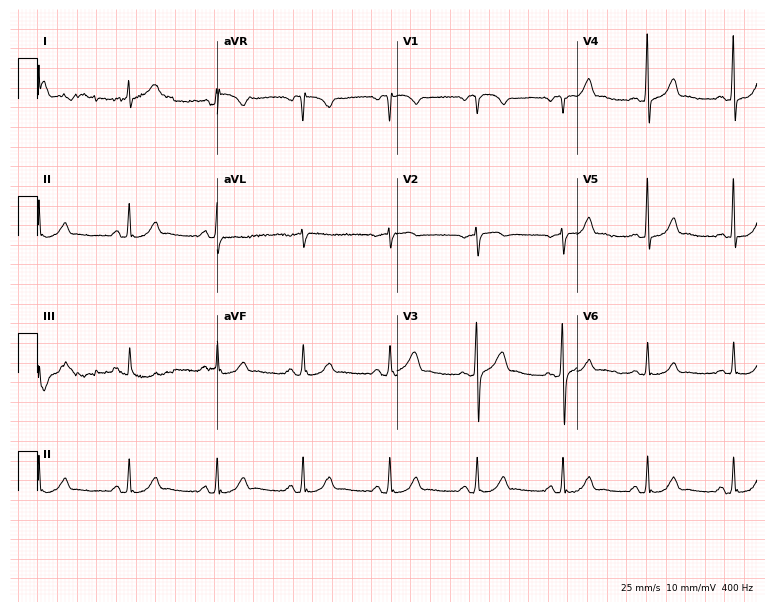
ECG (7.3-second recording at 400 Hz) — a male, 51 years old. Labelled as a normal ECG.